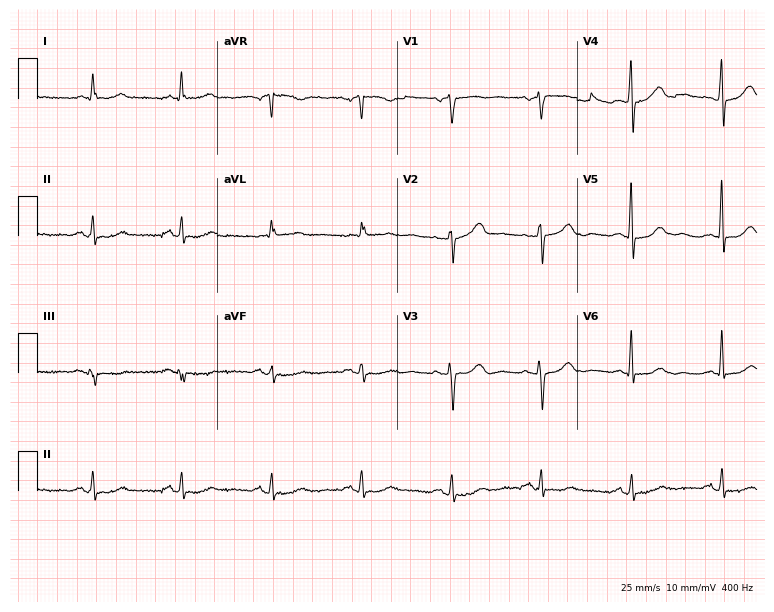
12-lead ECG from a 77-year-old male (7.3-second recording at 400 Hz). No first-degree AV block, right bundle branch block (RBBB), left bundle branch block (LBBB), sinus bradycardia, atrial fibrillation (AF) or sinus tachycardia recorded for this tracing. Only these six findings were labelled.